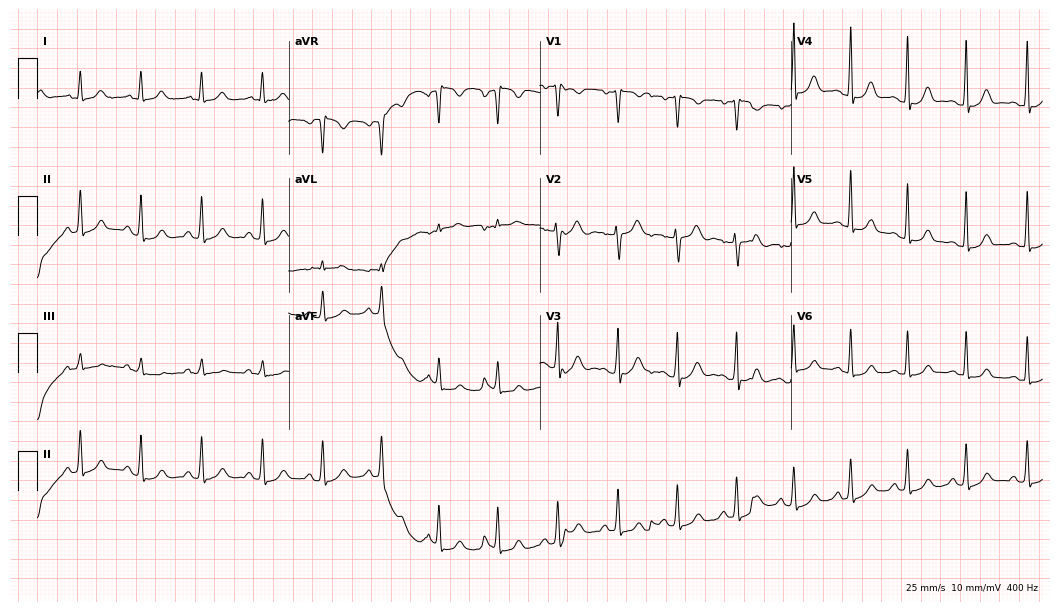
Standard 12-lead ECG recorded from a female, 36 years old. Read as a normal ECG.